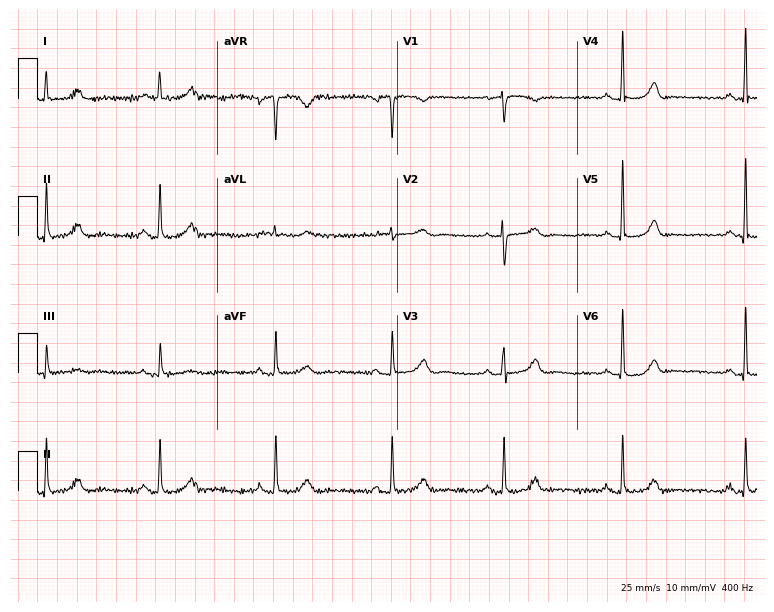
Standard 12-lead ECG recorded from a 70-year-old female patient. None of these six findings is recorded: first-degree AV block, right bundle branch block (RBBB), left bundle branch block (LBBB), sinus bradycardia, atrial fibrillation (AF), sinus tachycardia.